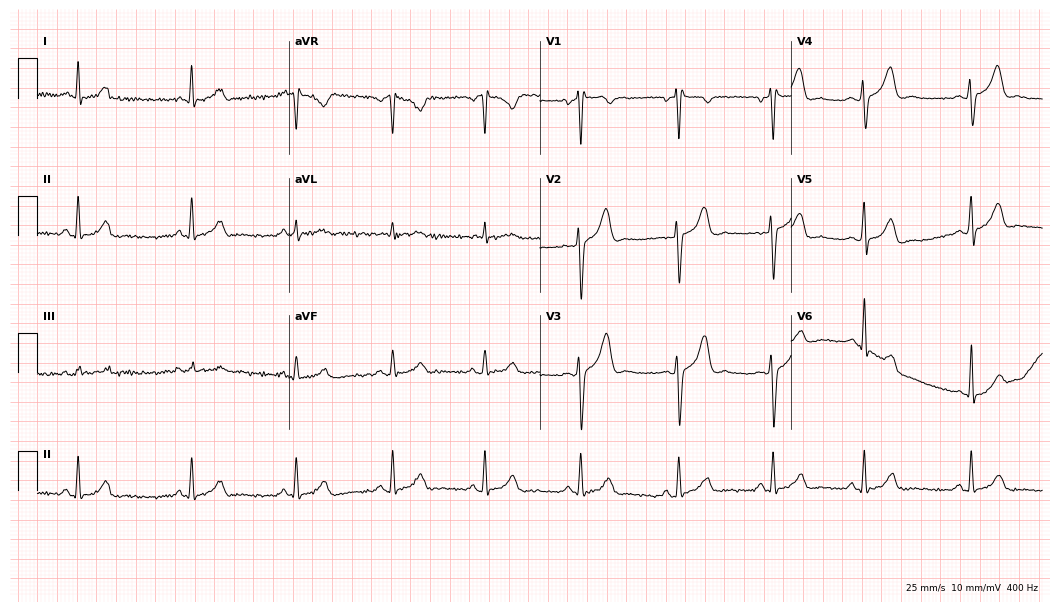
Standard 12-lead ECG recorded from a 29-year-old male. Read as a normal ECG.